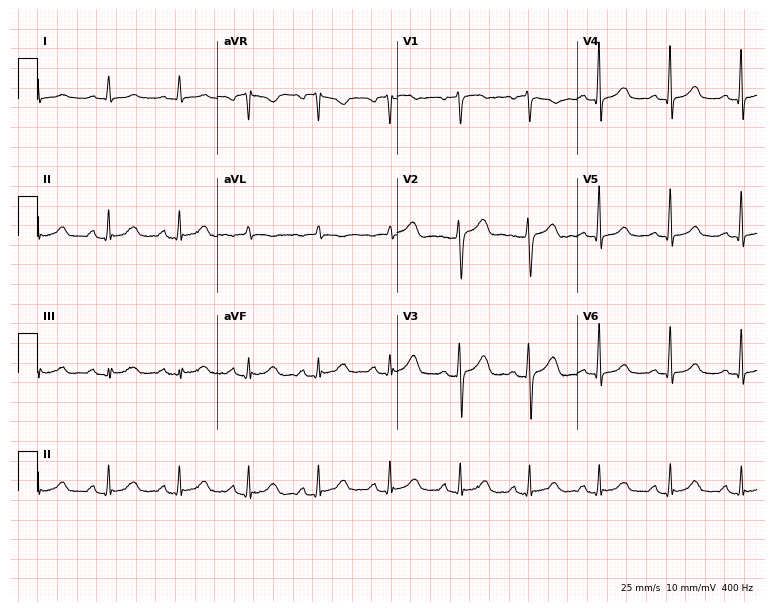
12-lead ECG from a female patient, 54 years old (7.3-second recording at 400 Hz). No first-degree AV block, right bundle branch block, left bundle branch block, sinus bradycardia, atrial fibrillation or sinus tachycardia recorded for this tracing. Findings outside these six are not listed.